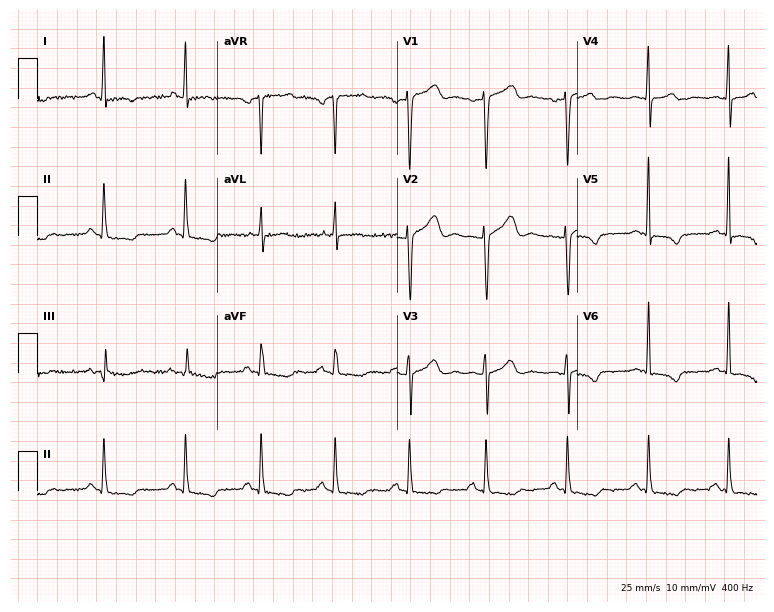
Resting 12-lead electrocardiogram (7.3-second recording at 400 Hz). Patient: a female, 60 years old. None of these six findings is recorded: first-degree AV block, right bundle branch block, left bundle branch block, sinus bradycardia, atrial fibrillation, sinus tachycardia.